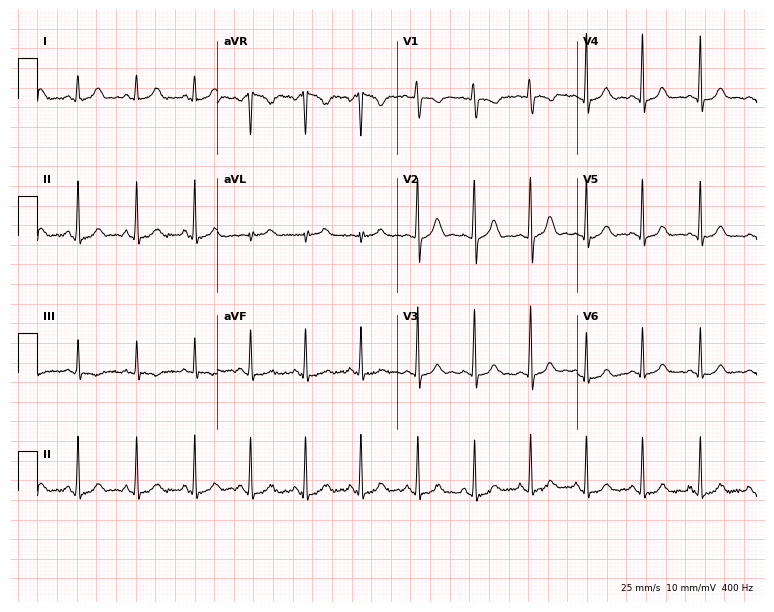
Resting 12-lead electrocardiogram (7.3-second recording at 400 Hz). Patient: a 22-year-old woman. The tracing shows sinus tachycardia (a sinus rate of 100 beats per minute or more).